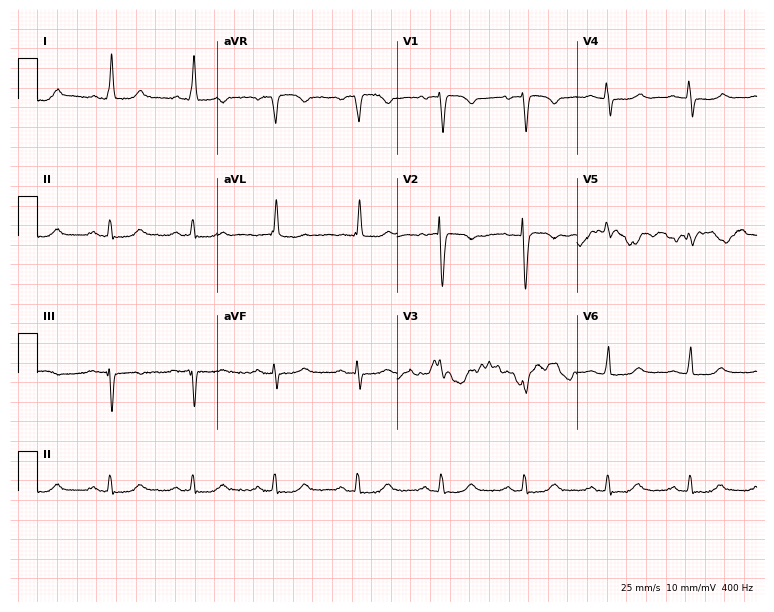
12-lead ECG from a female, 84 years old. Screened for six findings — first-degree AV block, right bundle branch block (RBBB), left bundle branch block (LBBB), sinus bradycardia, atrial fibrillation (AF), sinus tachycardia — none is recorded. Only these six findings were labelled.